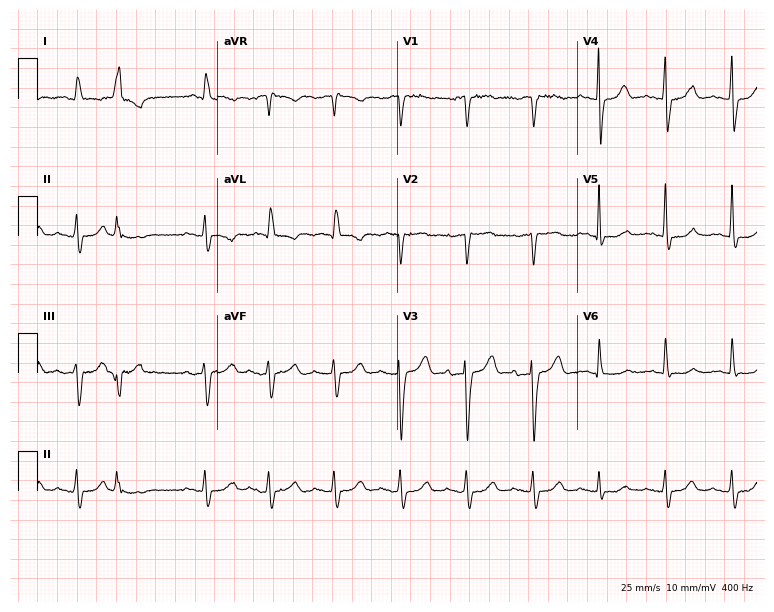
Standard 12-lead ECG recorded from an 83-year-old male. None of these six findings is recorded: first-degree AV block, right bundle branch block (RBBB), left bundle branch block (LBBB), sinus bradycardia, atrial fibrillation (AF), sinus tachycardia. Other findings, if any, are not listed.